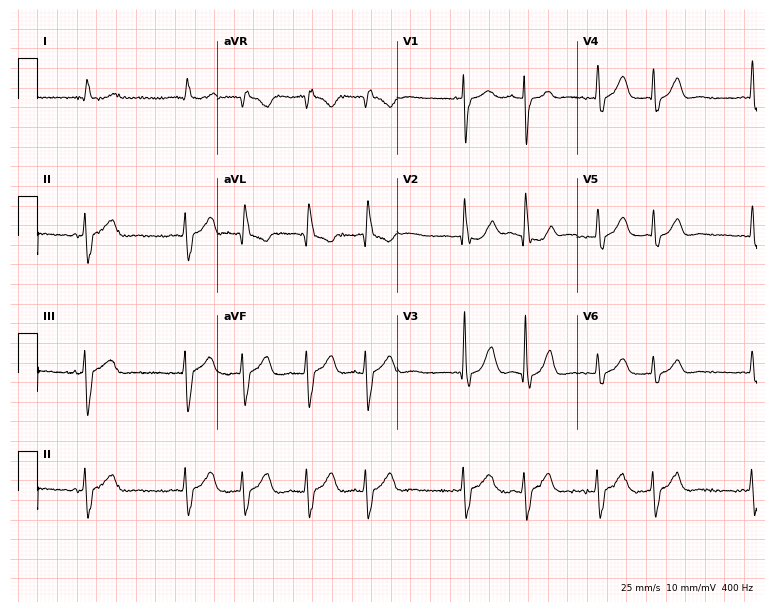
Resting 12-lead electrocardiogram (7.3-second recording at 400 Hz). Patient: an 85-year-old female. None of these six findings is recorded: first-degree AV block, right bundle branch block, left bundle branch block, sinus bradycardia, atrial fibrillation, sinus tachycardia. Other findings, if any, are not listed.